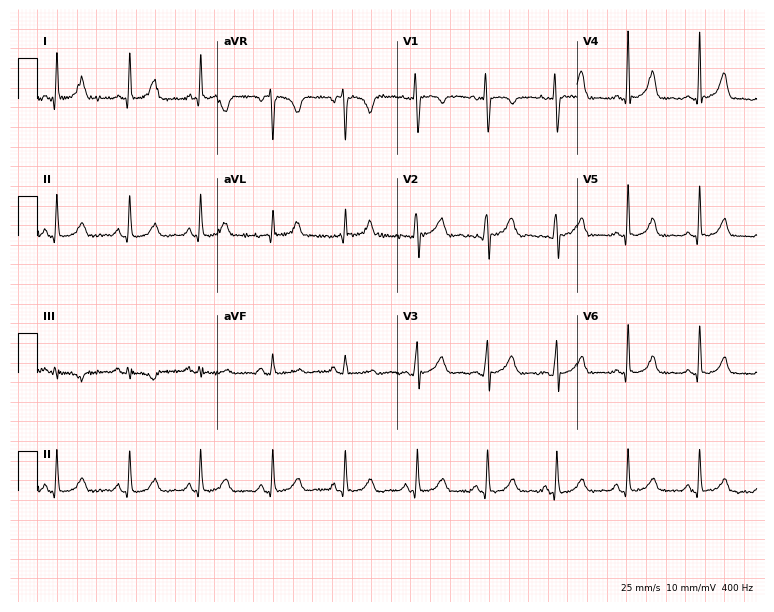
Electrocardiogram, a 38-year-old female. Overall reading on record: normal ECG.